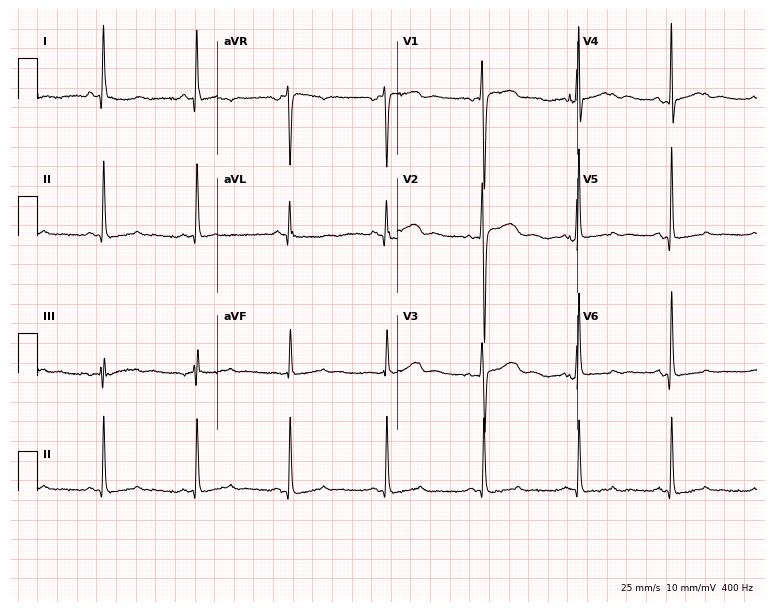
Resting 12-lead electrocardiogram. Patient: a female, 56 years old. None of these six findings is recorded: first-degree AV block, right bundle branch block, left bundle branch block, sinus bradycardia, atrial fibrillation, sinus tachycardia.